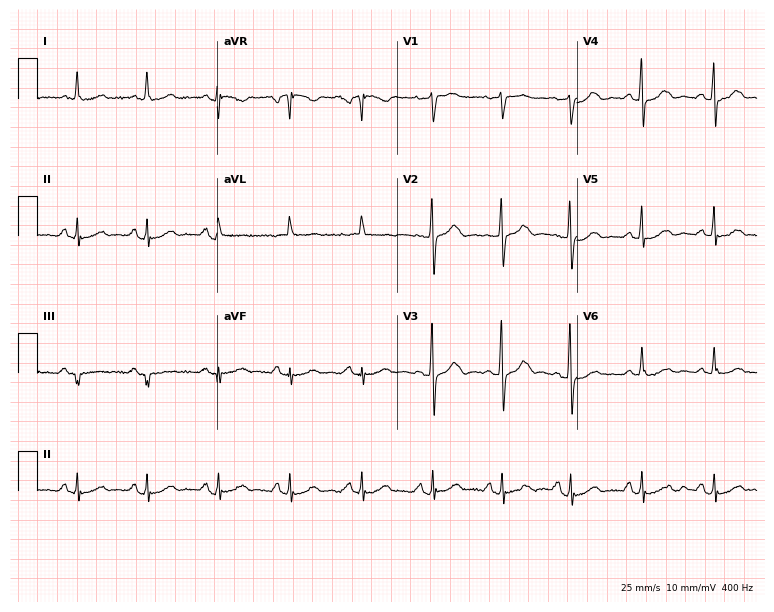
ECG (7.3-second recording at 400 Hz) — a female, 65 years old. Labelled as a normal ECG.